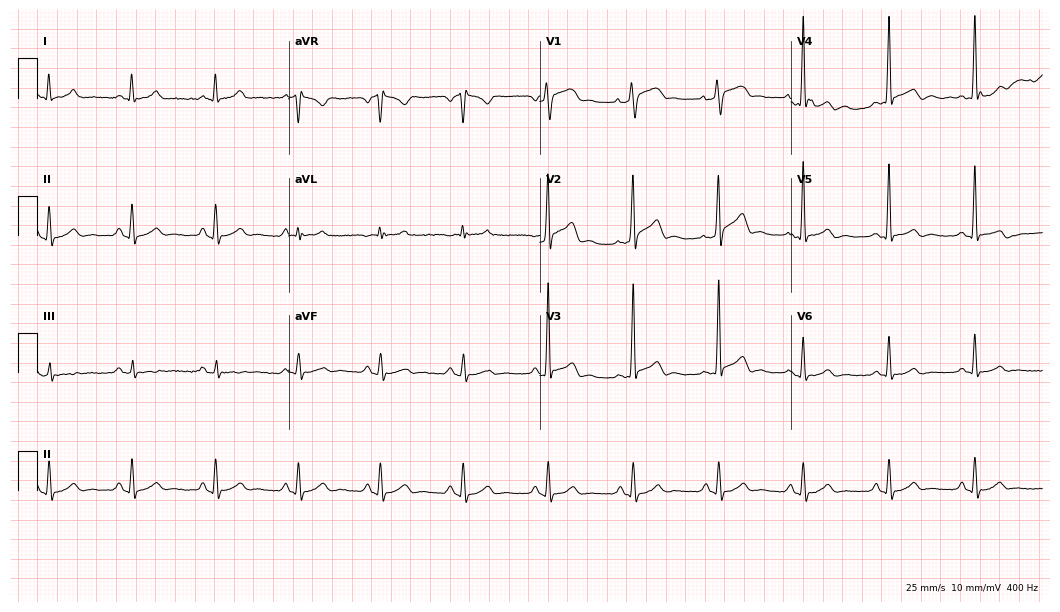
Electrocardiogram, a man, 49 years old. Of the six screened findings (first-degree AV block, right bundle branch block (RBBB), left bundle branch block (LBBB), sinus bradycardia, atrial fibrillation (AF), sinus tachycardia), none is recorded.